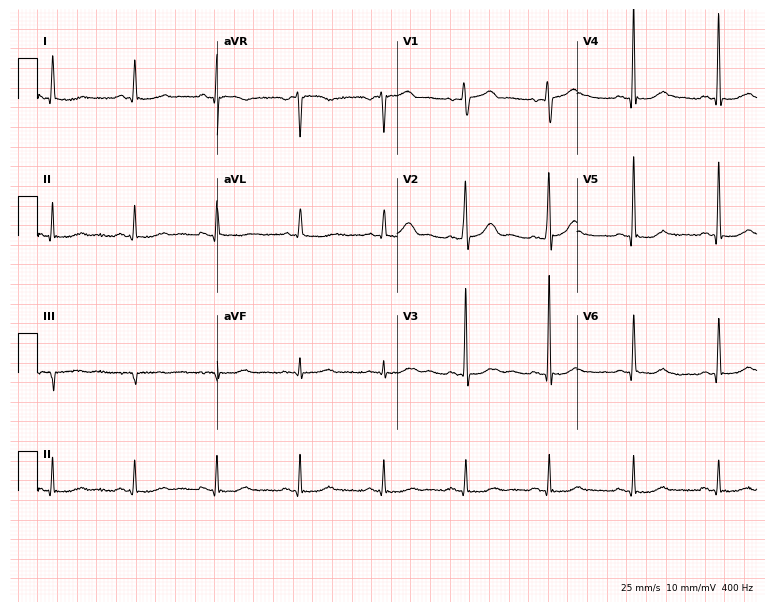
ECG (7.3-second recording at 400 Hz) — a female patient, 70 years old. Screened for six findings — first-degree AV block, right bundle branch block, left bundle branch block, sinus bradycardia, atrial fibrillation, sinus tachycardia — none is recorded. Other findings, if any, are not listed.